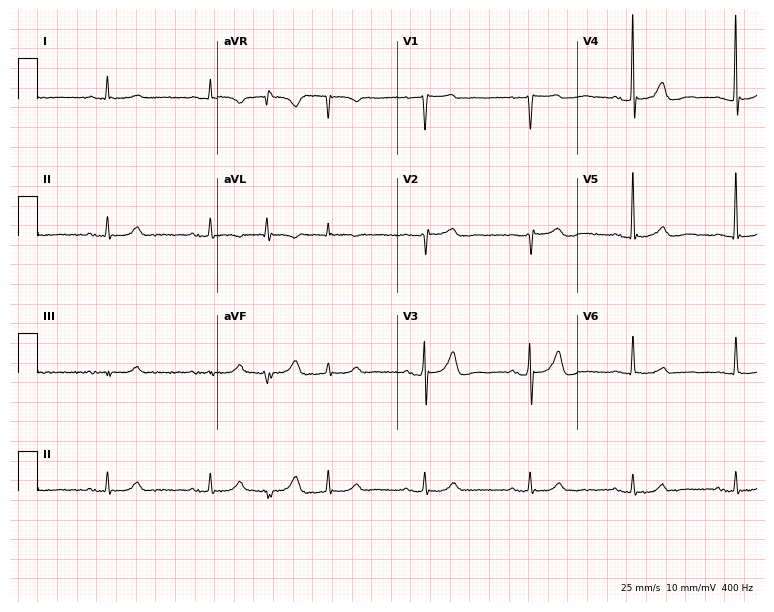
12-lead ECG from a male patient, 77 years old. No first-degree AV block, right bundle branch block, left bundle branch block, sinus bradycardia, atrial fibrillation or sinus tachycardia recorded for this tracing. Other findings, if any, are not listed.